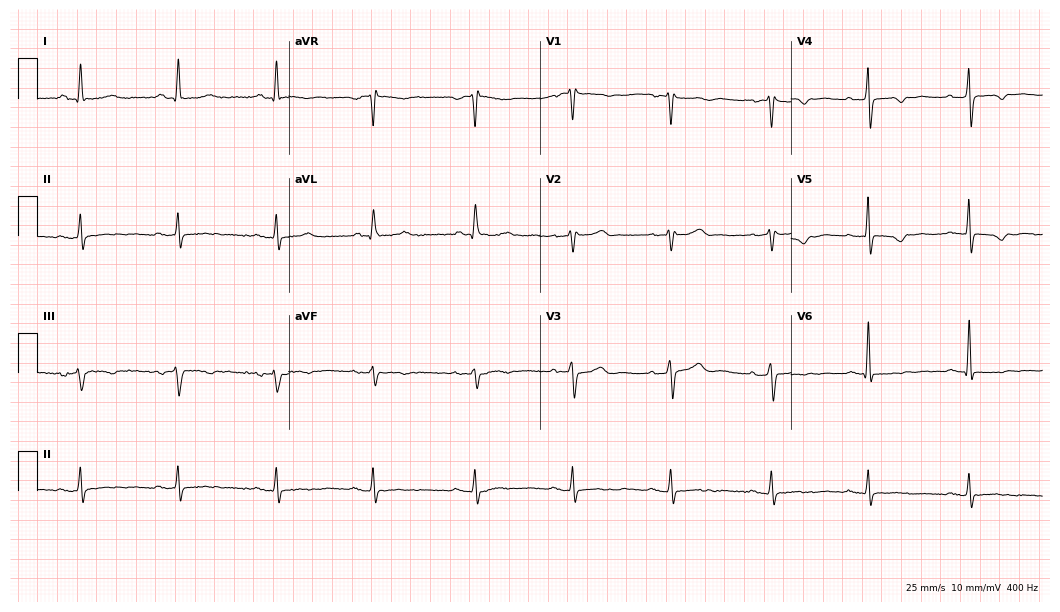
12-lead ECG from a female patient, 56 years old. Screened for six findings — first-degree AV block, right bundle branch block, left bundle branch block, sinus bradycardia, atrial fibrillation, sinus tachycardia — none is recorded.